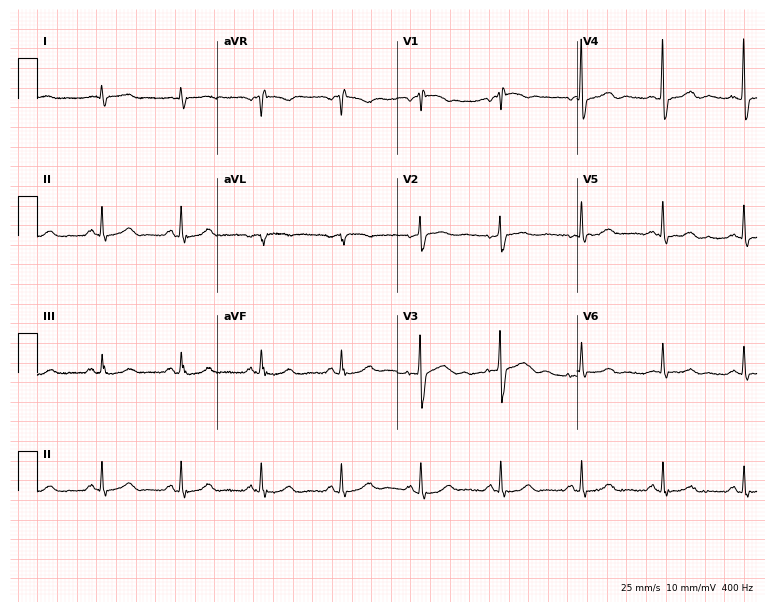
Standard 12-lead ECG recorded from a 79-year-old man. None of these six findings is recorded: first-degree AV block, right bundle branch block (RBBB), left bundle branch block (LBBB), sinus bradycardia, atrial fibrillation (AF), sinus tachycardia.